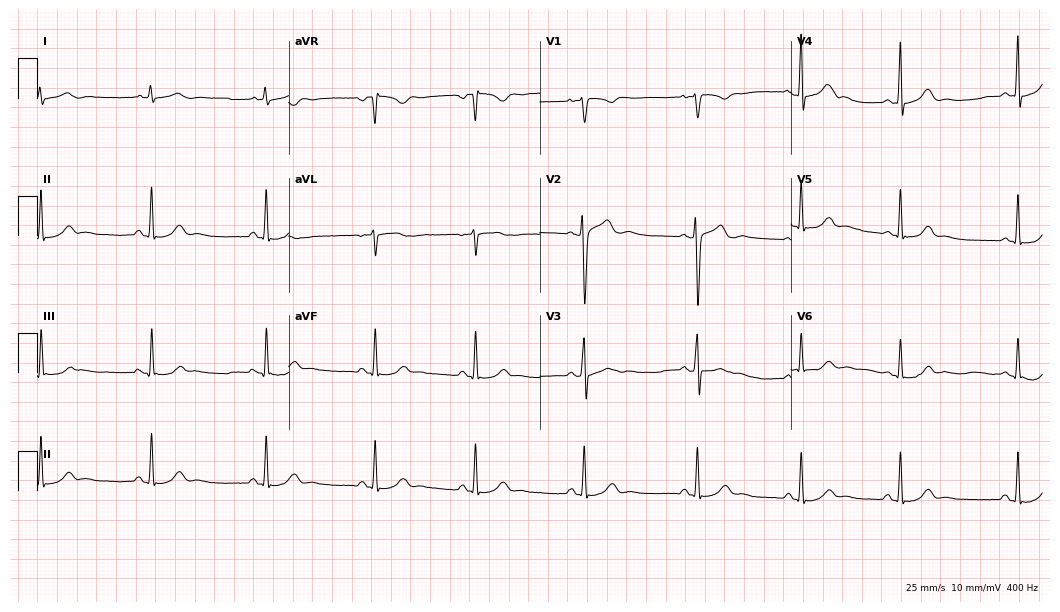
Electrocardiogram (10.2-second recording at 400 Hz), a female patient, 23 years old. Overall reading on record: normal ECG.